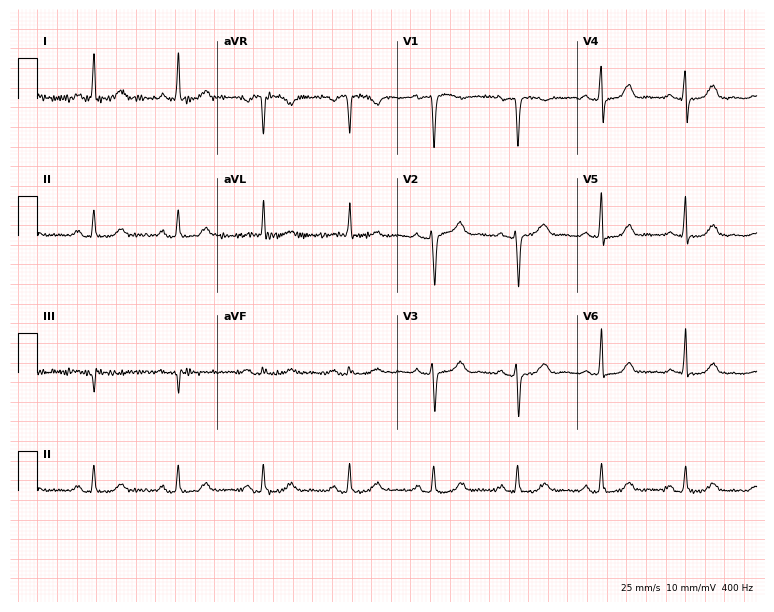
Standard 12-lead ECG recorded from a woman, 65 years old. None of these six findings is recorded: first-degree AV block, right bundle branch block (RBBB), left bundle branch block (LBBB), sinus bradycardia, atrial fibrillation (AF), sinus tachycardia. Only these six findings were labelled.